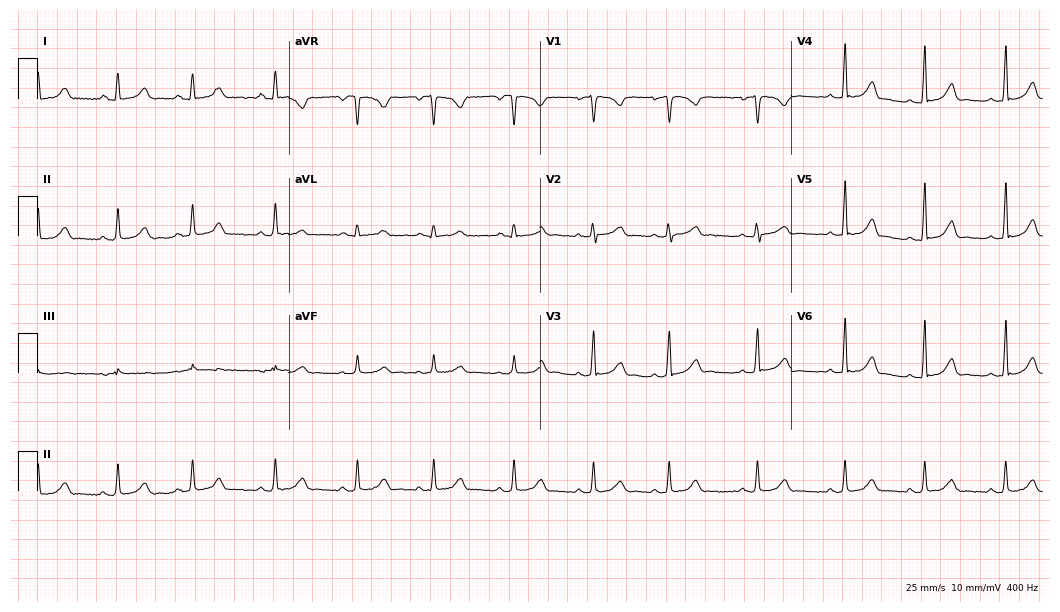
ECG (10.2-second recording at 400 Hz) — an 18-year-old female patient. Labelled as a normal ECG.